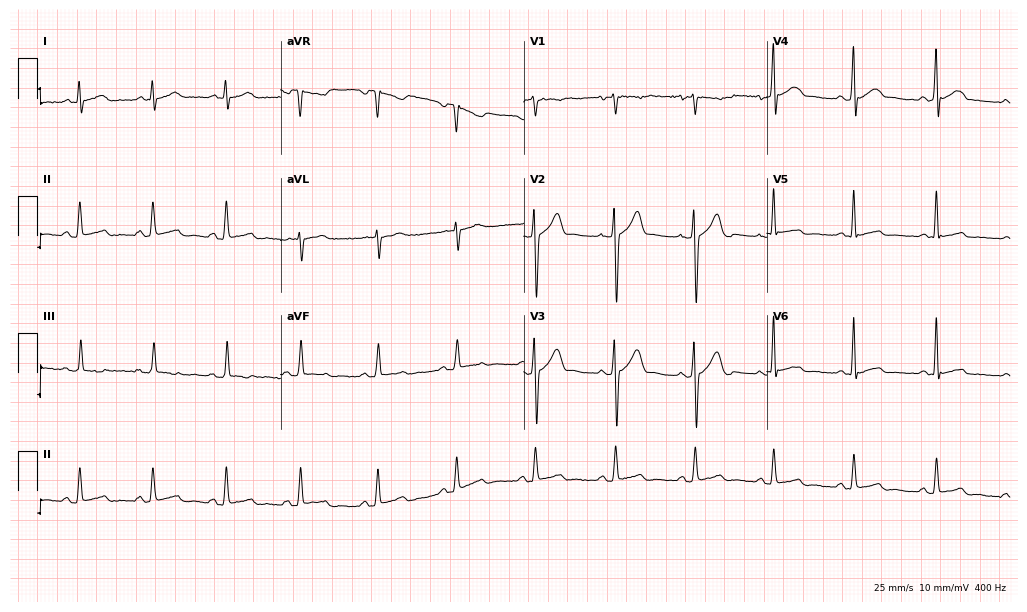
12-lead ECG from a male, 38 years old. Recorded interpretation: within normal limits.